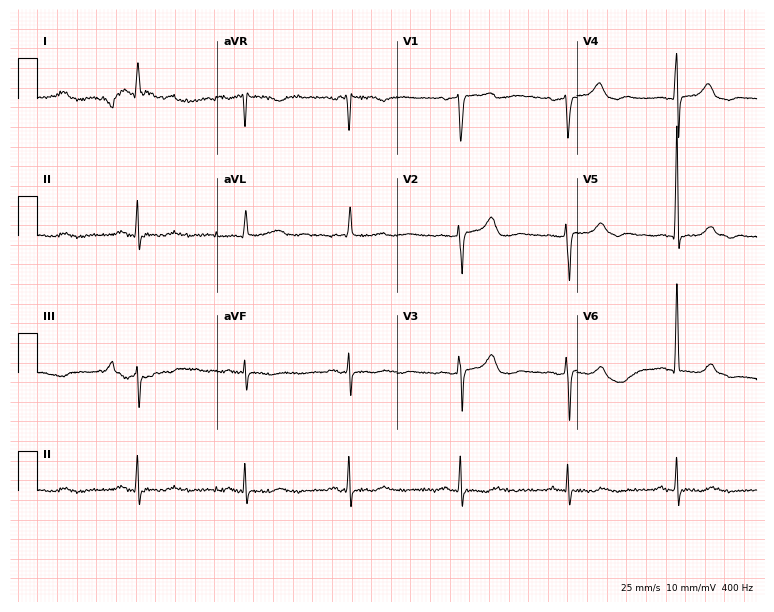
Resting 12-lead electrocardiogram (7.3-second recording at 400 Hz). Patient: a female, 76 years old. None of these six findings is recorded: first-degree AV block, right bundle branch block, left bundle branch block, sinus bradycardia, atrial fibrillation, sinus tachycardia.